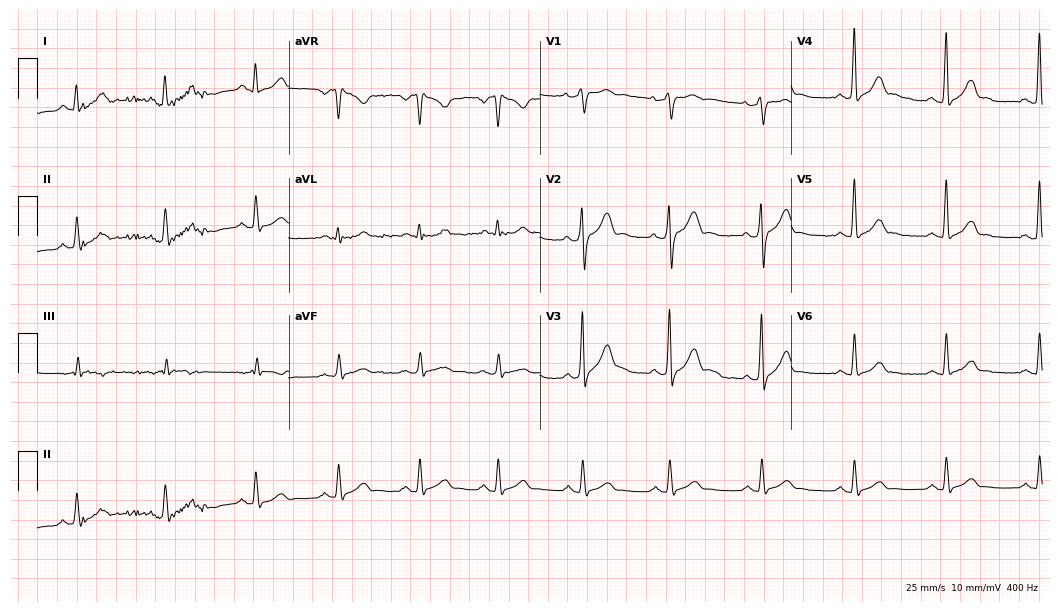
Resting 12-lead electrocardiogram (10.2-second recording at 400 Hz). Patient: a 30-year-old male. Read as a normal ECG.